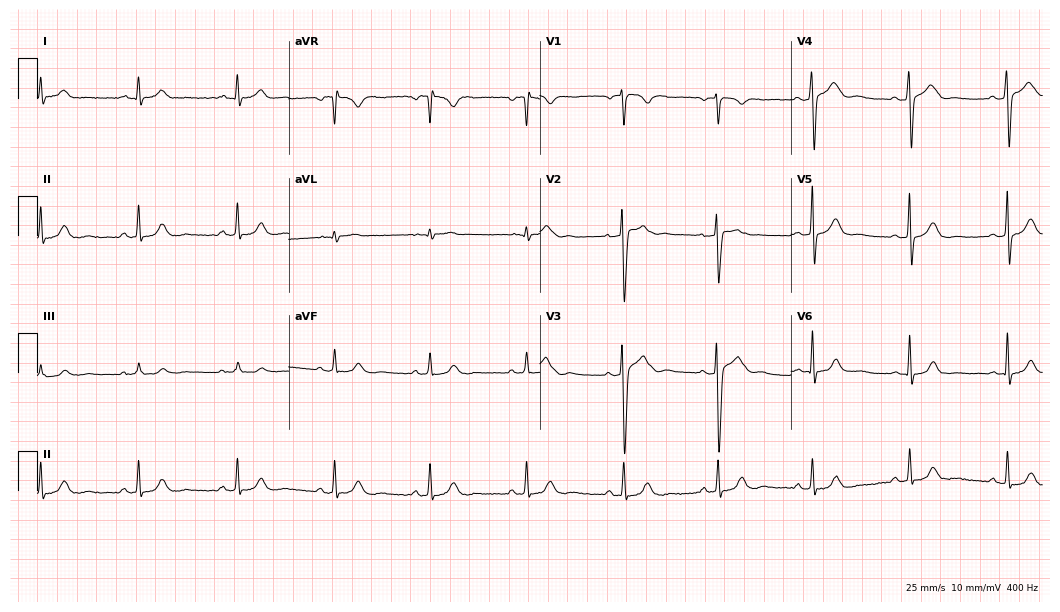
12-lead ECG from a man, 52 years old. Recorded interpretation: within normal limits.